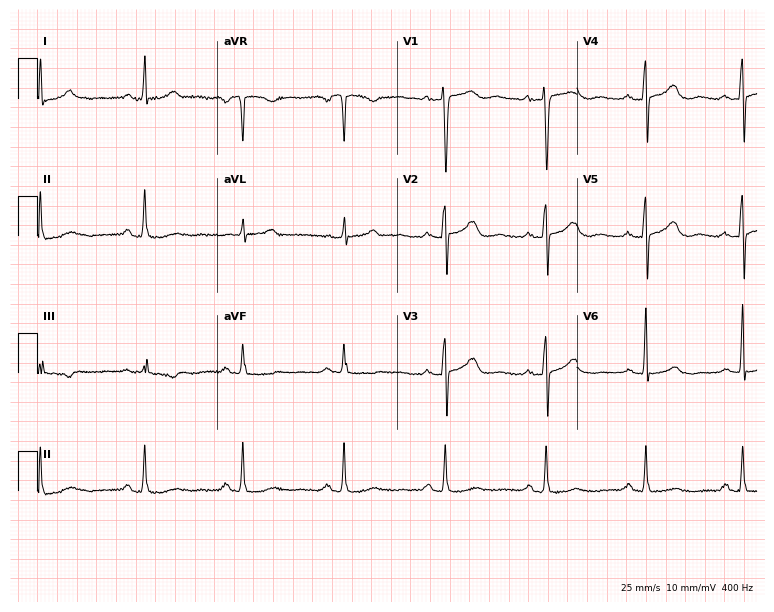
Resting 12-lead electrocardiogram. Patient: a 59-year-old female. Read as a normal ECG.